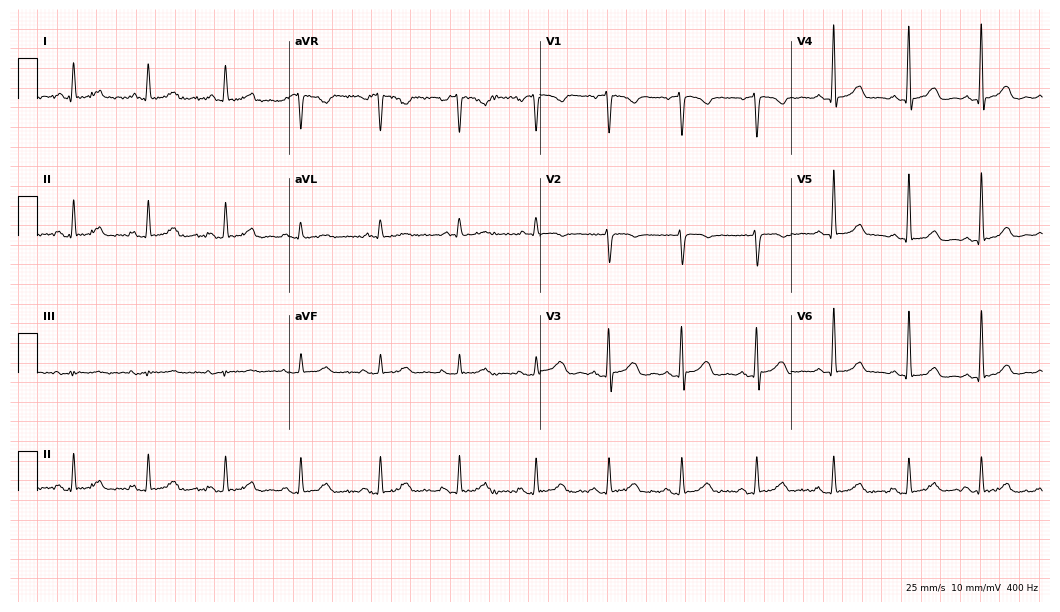
12-lead ECG from a woman, 29 years old. Recorded interpretation: within normal limits.